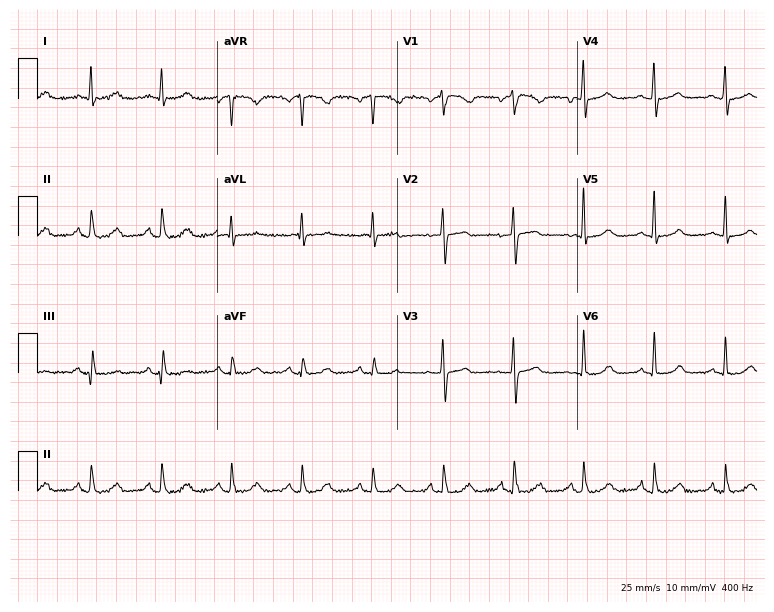
ECG — a female, 62 years old. Screened for six findings — first-degree AV block, right bundle branch block, left bundle branch block, sinus bradycardia, atrial fibrillation, sinus tachycardia — none is recorded.